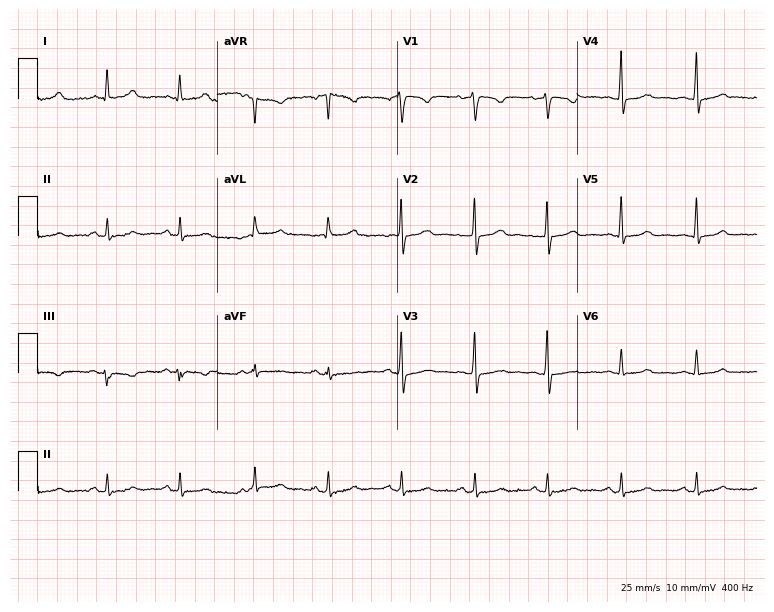
ECG — a 48-year-old female. Labelled as a normal ECG.